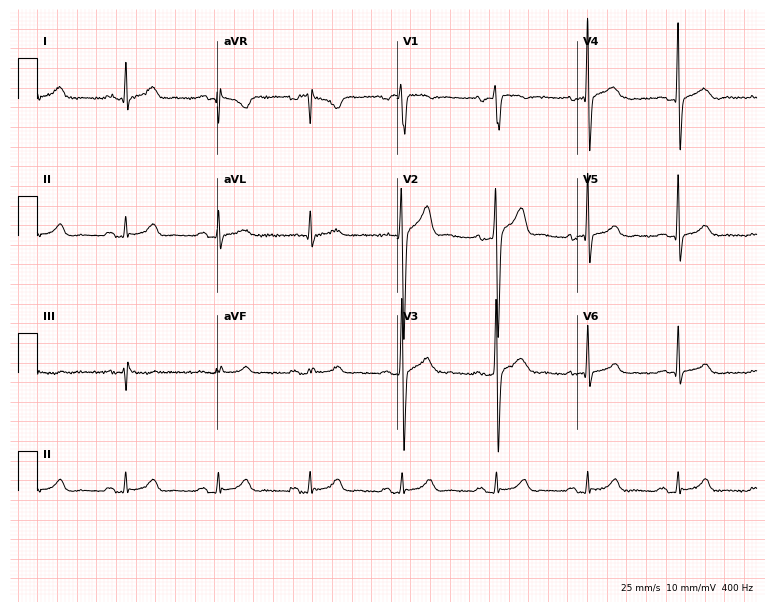
12-lead ECG (7.3-second recording at 400 Hz) from a man, 44 years old. Screened for six findings — first-degree AV block, right bundle branch block, left bundle branch block, sinus bradycardia, atrial fibrillation, sinus tachycardia — none is recorded.